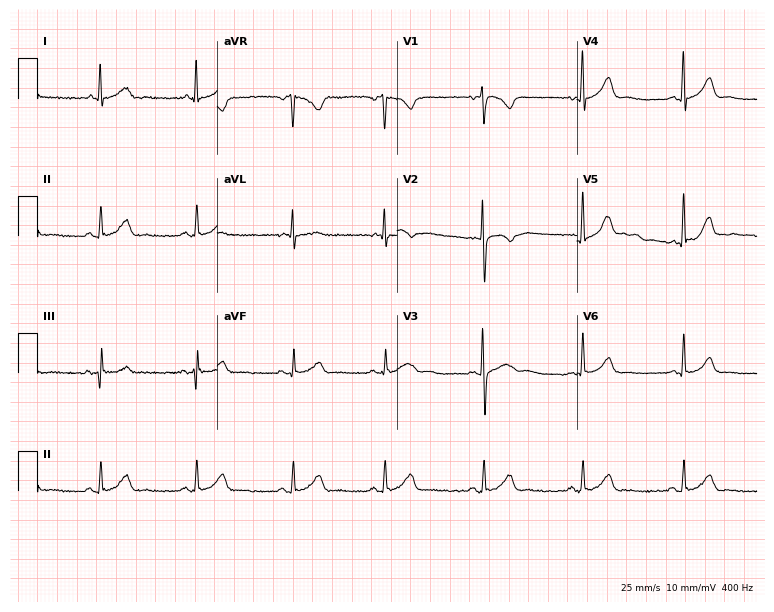
Standard 12-lead ECG recorded from a 41-year-old male patient. Read as a normal ECG.